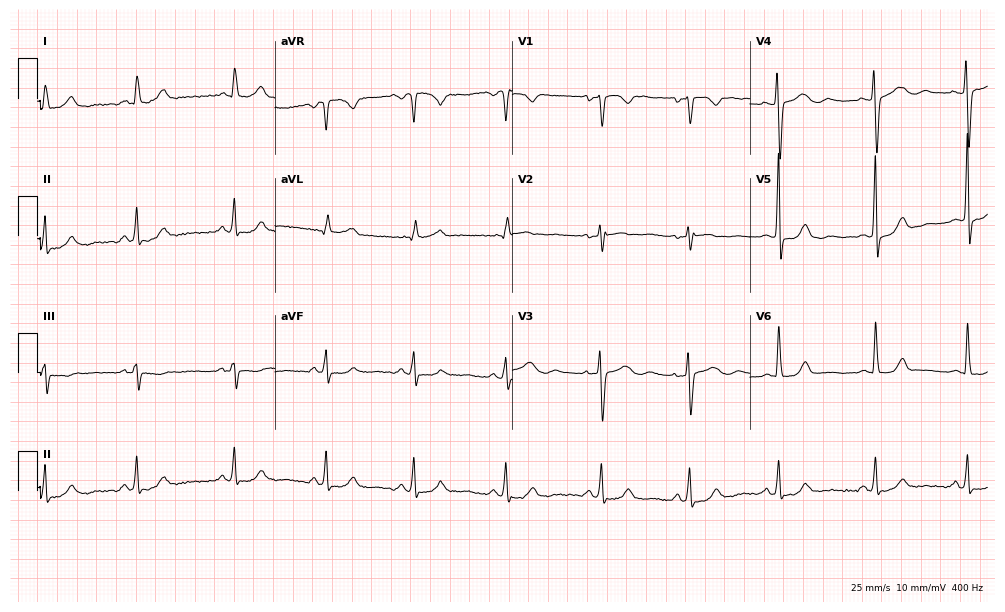
Resting 12-lead electrocardiogram (9.7-second recording at 400 Hz). Patient: a woman, 38 years old. Read as a normal ECG.